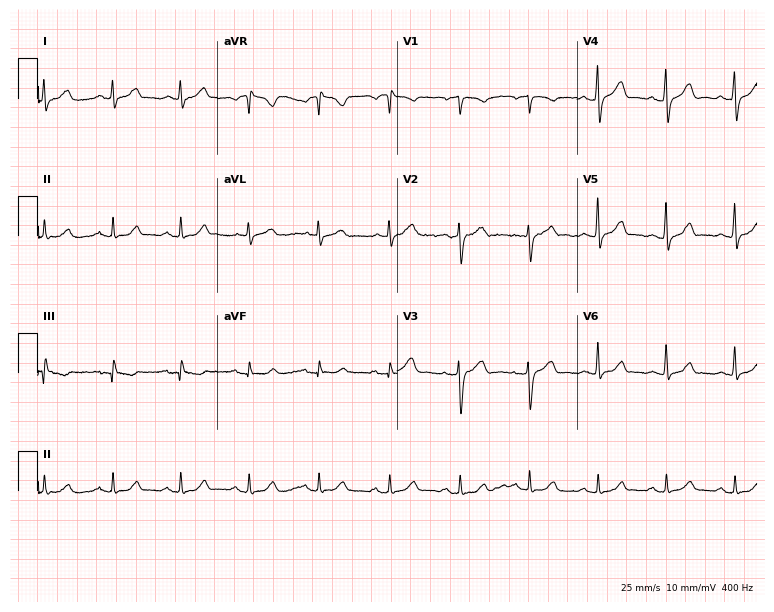
12-lead ECG from a man, 64 years old. No first-degree AV block, right bundle branch block, left bundle branch block, sinus bradycardia, atrial fibrillation or sinus tachycardia recorded for this tracing.